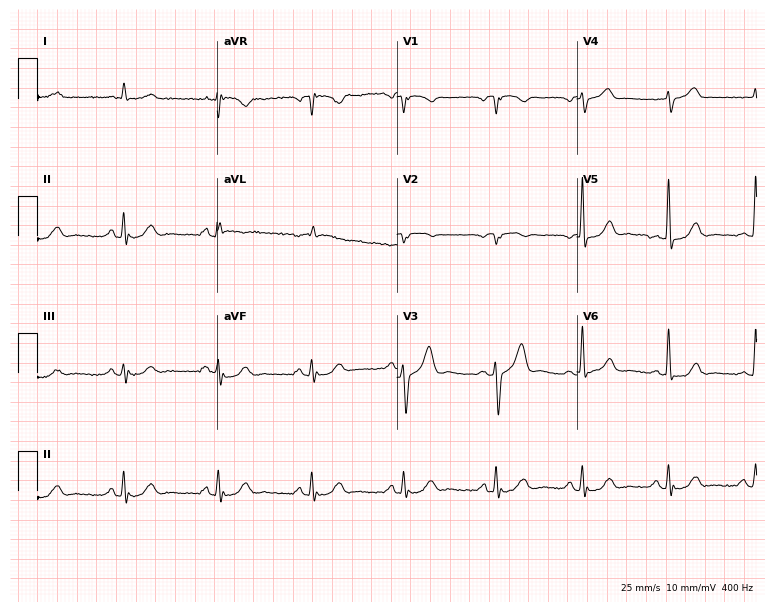
12-lead ECG from a male, 75 years old. Screened for six findings — first-degree AV block, right bundle branch block, left bundle branch block, sinus bradycardia, atrial fibrillation, sinus tachycardia — none is recorded.